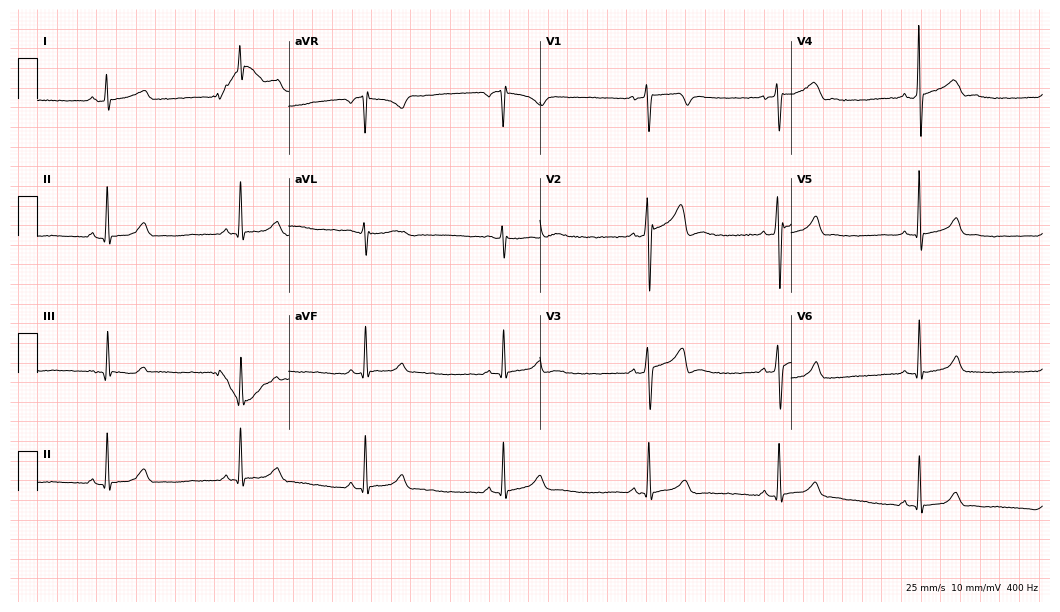
12-lead ECG from a male, 27 years old (10.2-second recording at 400 Hz). No first-degree AV block, right bundle branch block, left bundle branch block, sinus bradycardia, atrial fibrillation or sinus tachycardia recorded for this tracing.